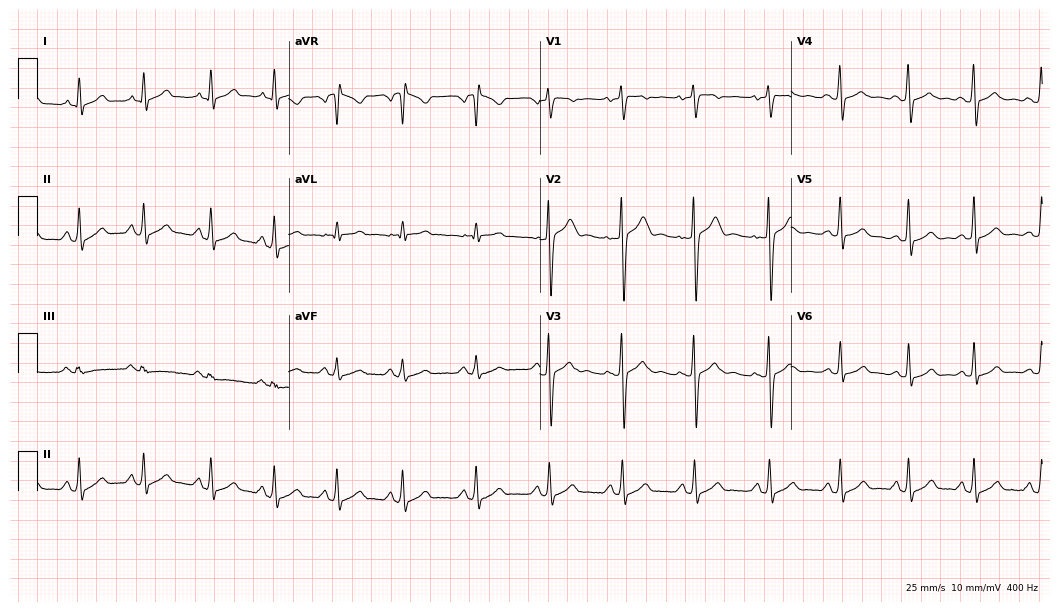
ECG — a 24-year-old female patient. Screened for six findings — first-degree AV block, right bundle branch block (RBBB), left bundle branch block (LBBB), sinus bradycardia, atrial fibrillation (AF), sinus tachycardia — none is recorded. Findings outside these six are not listed.